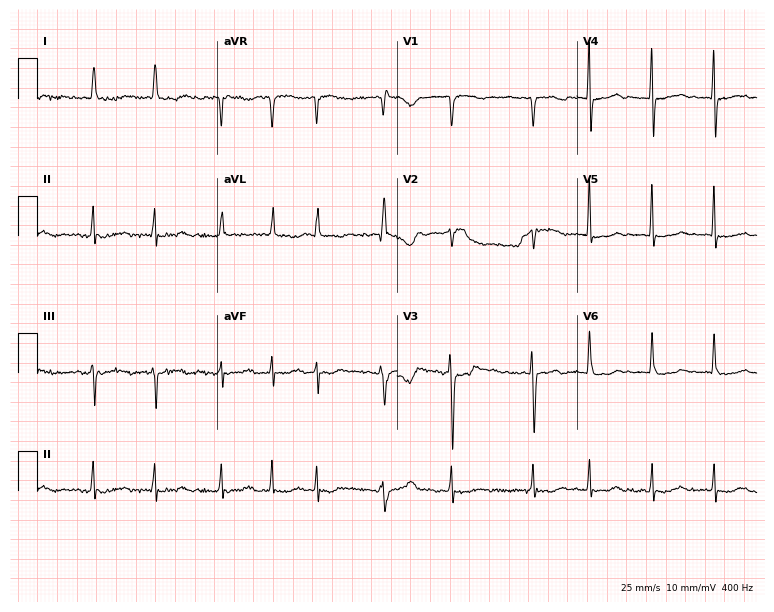
Standard 12-lead ECG recorded from a 74-year-old woman (7.3-second recording at 400 Hz). The tracing shows atrial fibrillation.